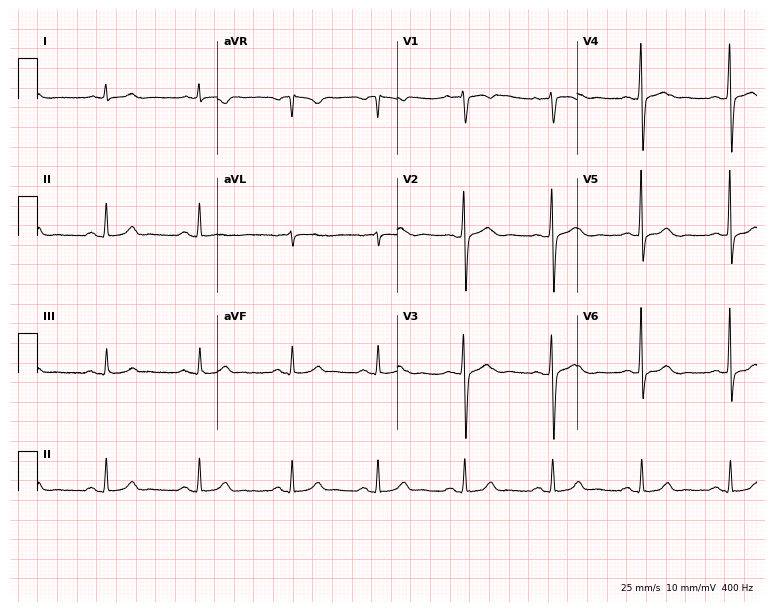
Resting 12-lead electrocardiogram (7.3-second recording at 400 Hz). Patient: a female, 29 years old. None of these six findings is recorded: first-degree AV block, right bundle branch block, left bundle branch block, sinus bradycardia, atrial fibrillation, sinus tachycardia.